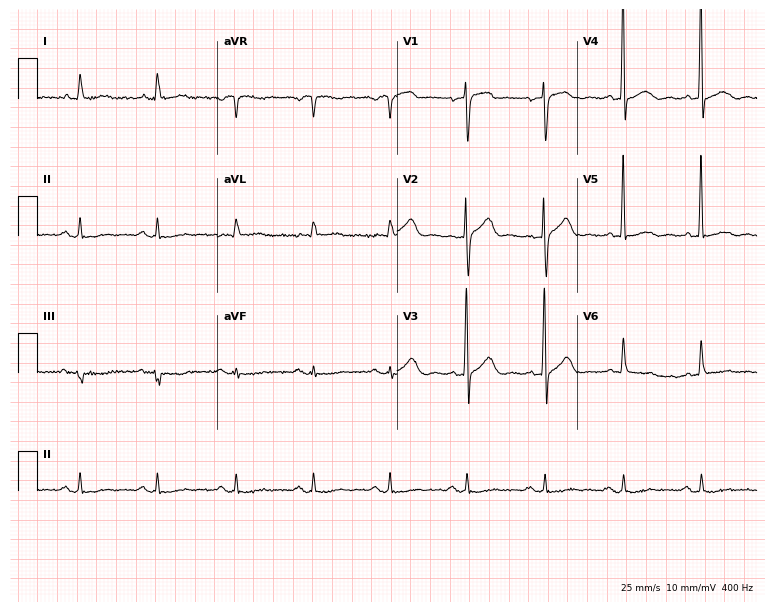
Standard 12-lead ECG recorded from a man, 78 years old (7.3-second recording at 400 Hz). None of these six findings is recorded: first-degree AV block, right bundle branch block, left bundle branch block, sinus bradycardia, atrial fibrillation, sinus tachycardia.